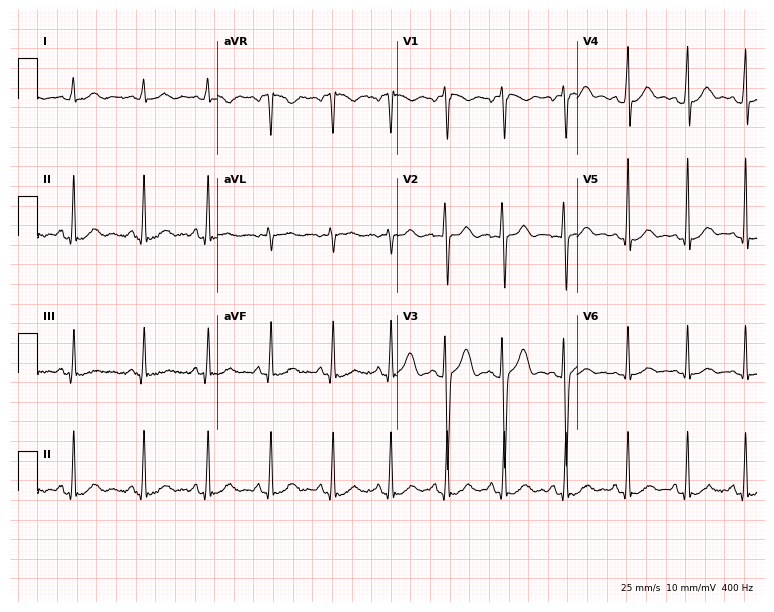
ECG — a male patient, 26 years old. Screened for six findings — first-degree AV block, right bundle branch block, left bundle branch block, sinus bradycardia, atrial fibrillation, sinus tachycardia — none is recorded. Only these six findings were labelled.